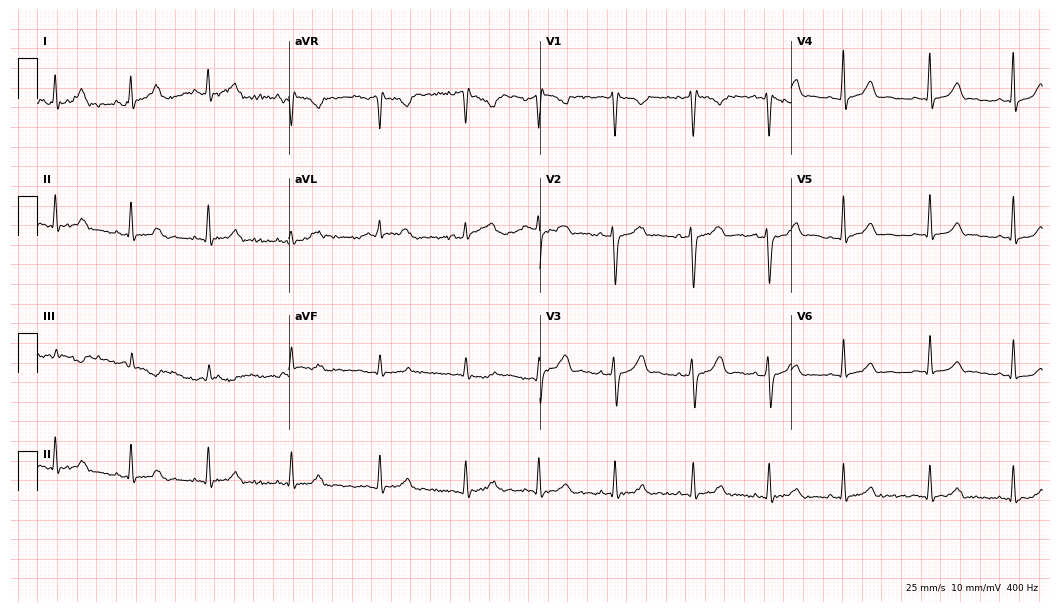
Standard 12-lead ECG recorded from a female patient, 31 years old. None of these six findings is recorded: first-degree AV block, right bundle branch block, left bundle branch block, sinus bradycardia, atrial fibrillation, sinus tachycardia.